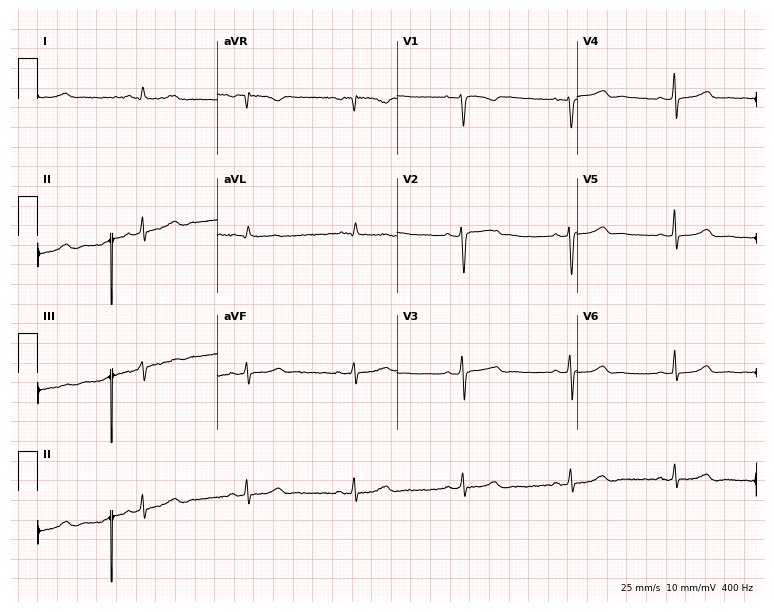
Resting 12-lead electrocardiogram. Patient: a 47-year-old female. None of these six findings is recorded: first-degree AV block, right bundle branch block, left bundle branch block, sinus bradycardia, atrial fibrillation, sinus tachycardia. Other findings, if any, are not listed.